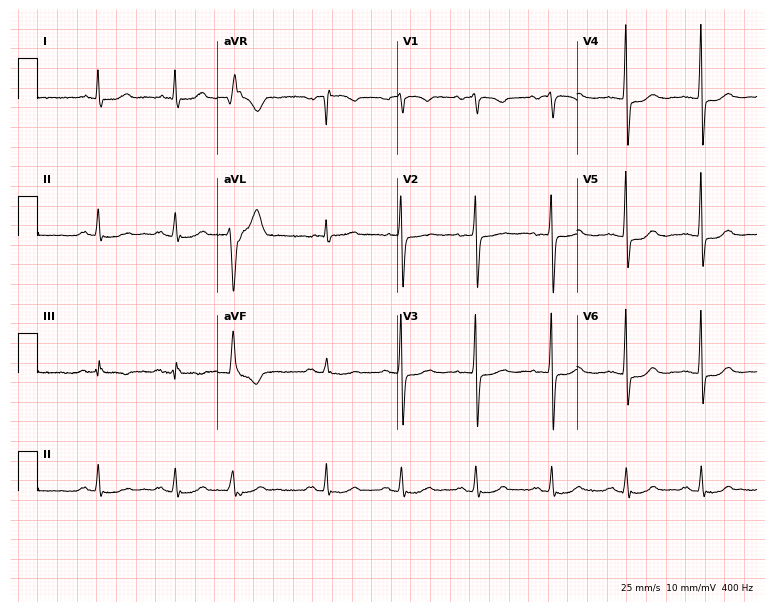
12-lead ECG from a female patient, 71 years old. Screened for six findings — first-degree AV block, right bundle branch block (RBBB), left bundle branch block (LBBB), sinus bradycardia, atrial fibrillation (AF), sinus tachycardia — none is recorded. Only these six findings were labelled.